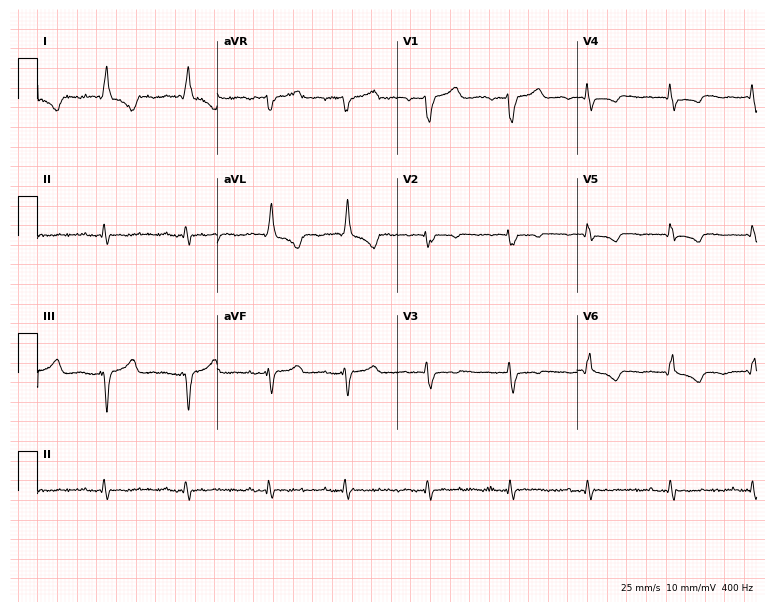
12-lead ECG (7.3-second recording at 400 Hz) from a man, 85 years old. Screened for six findings — first-degree AV block, right bundle branch block, left bundle branch block, sinus bradycardia, atrial fibrillation, sinus tachycardia — none is recorded.